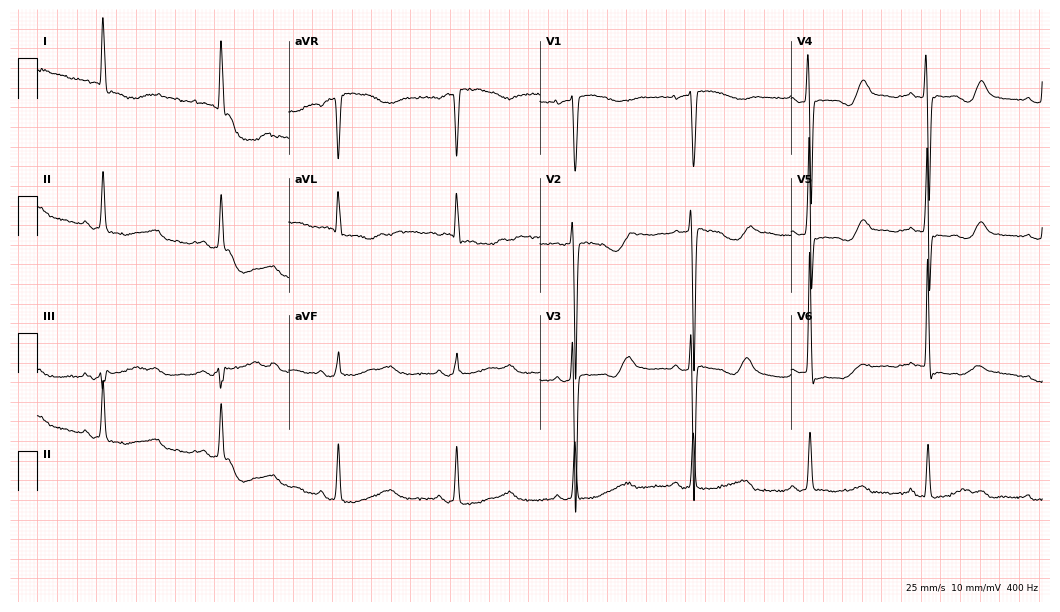
Electrocardiogram, a 75-year-old female. Of the six screened findings (first-degree AV block, right bundle branch block, left bundle branch block, sinus bradycardia, atrial fibrillation, sinus tachycardia), none is recorded. Other findings, if any, are not listed.